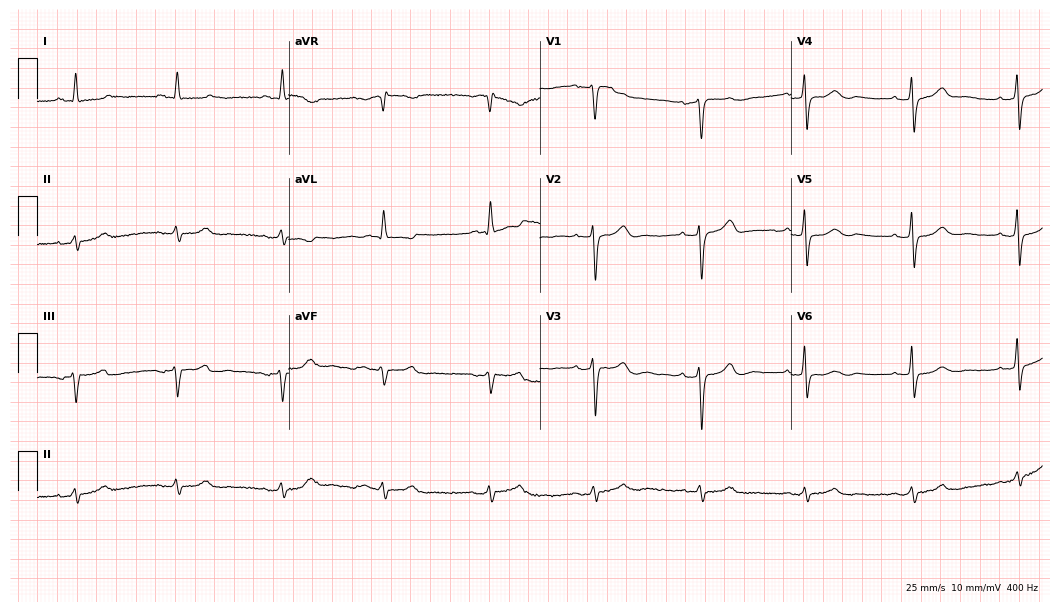
Electrocardiogram (10.2-second recording at 400 Hz), a female, 68 years old. Overall reading on record: normal ECG.